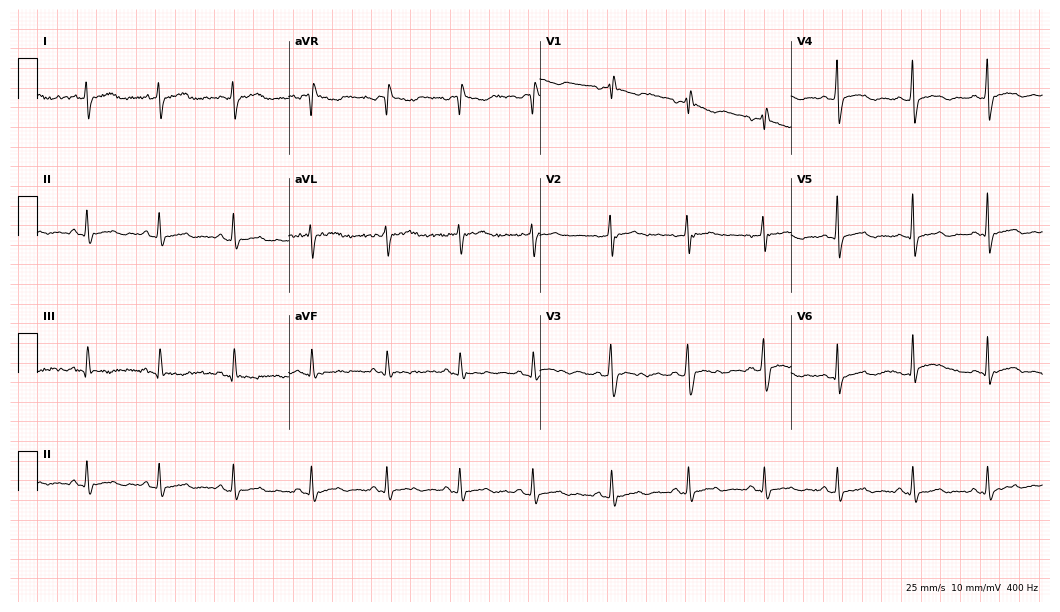
12-lead ECG from a man, 31 years old. No first-degree AV block, right bundle branch block, left bundle branch block, sinus bradycardia, atrial fibrillation or sinus tachycardia recorded for this tracing.